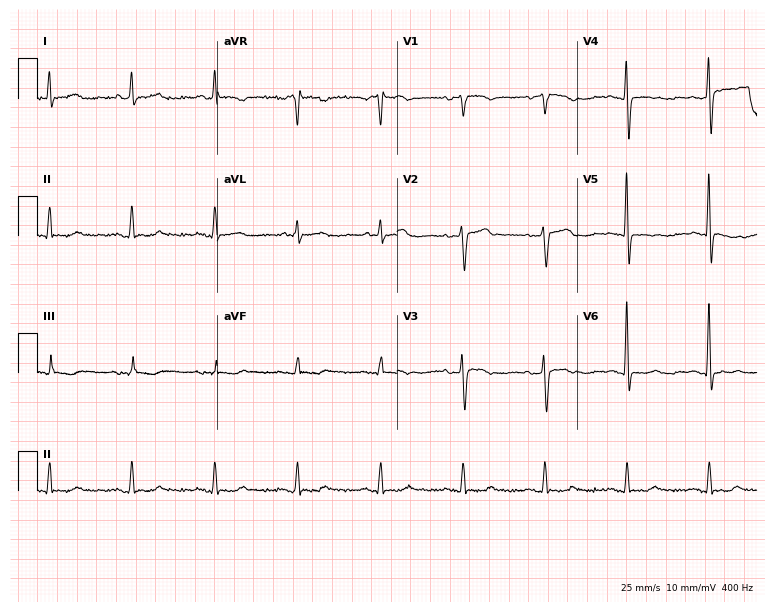
Electrocardiogram (7.3-second recording at 400 Hz), a woman, 75 years old. Of the six screened findings (first-degree AV block, right bundle branch block (RBBB), left bundle branch block (LBBB), sinus bradycardia, atrial fibrillation (AF), sinus tachycardia), none is recorded. Findings outside these six are not listed.